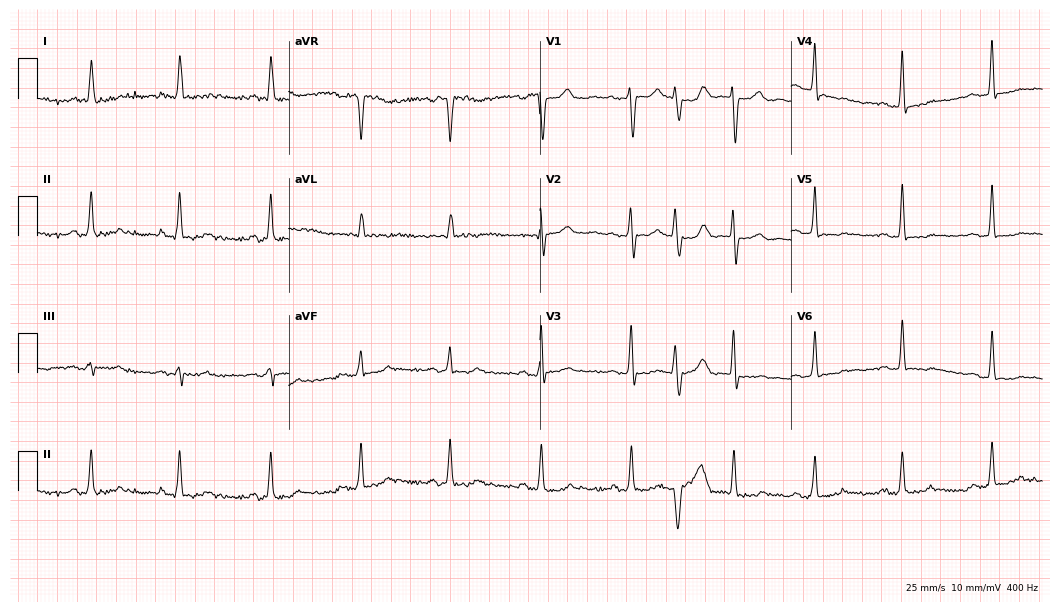
ECG — a 57-year-old female. Screened for six findings — first-degree AV block, right bundle branch block (RBBB), left bundle branch block (LBBB), sinus bradycardia, atrial fibrillation (AF), sinus tachycardia — none is recorded.